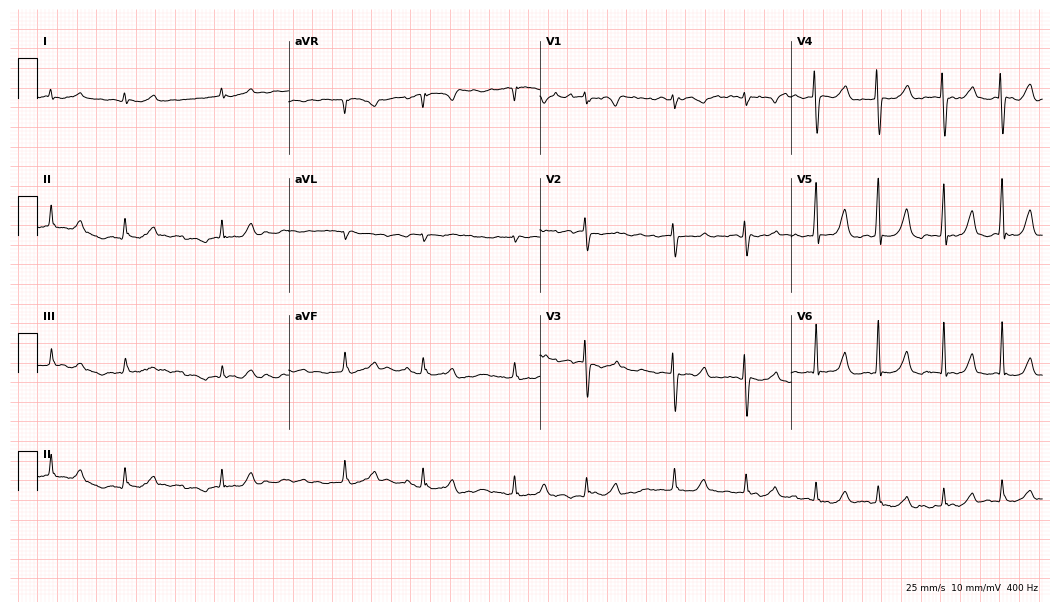
Standard 12-lead ECG recorded from a woman, 63 years old (10.2-second recording at 400 Hz). The tracing shows atrial fibrillation.